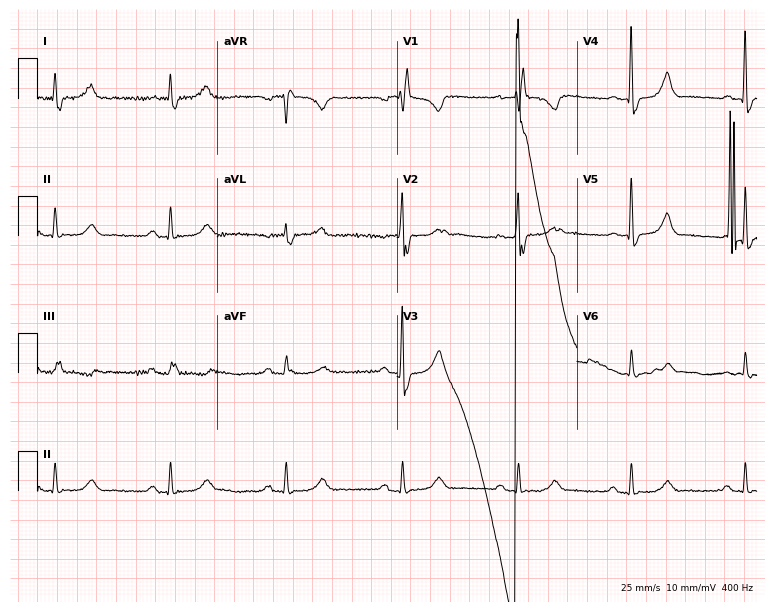
12-lead ECG from a 64-year-old female (7.3-second recording at 400 Hz). Shows right bundle branch block.